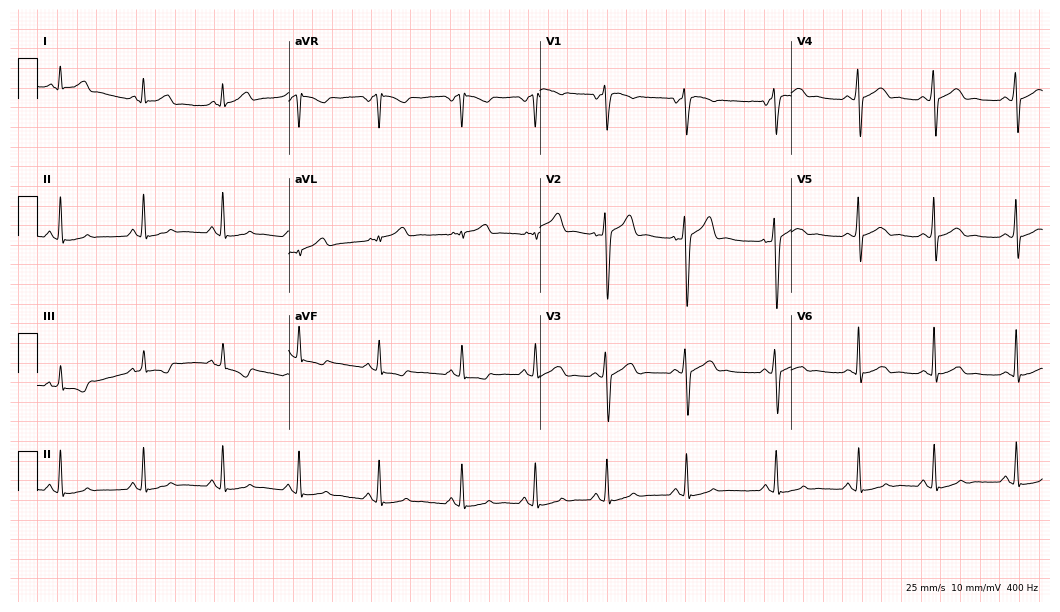
Standard 12-lead ECG recorded from a 23-year-old man. Read as a normal ECG.